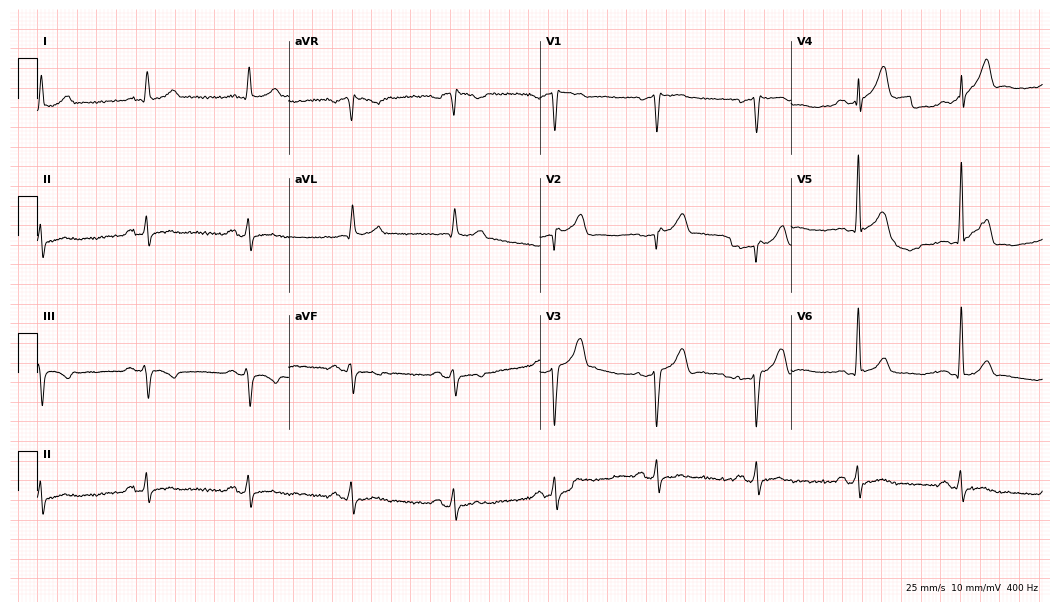
Standard 12-lead ECG recorded from a male, 65 years old (10.2-second recording at 400 Hz). None of these six findings is recorded: first-degree AV block, right bundle branch block, left bundle branch block, sinus bradycardia, atrial fibrillation, sinus tachycardia. Only these six findings were labelled.